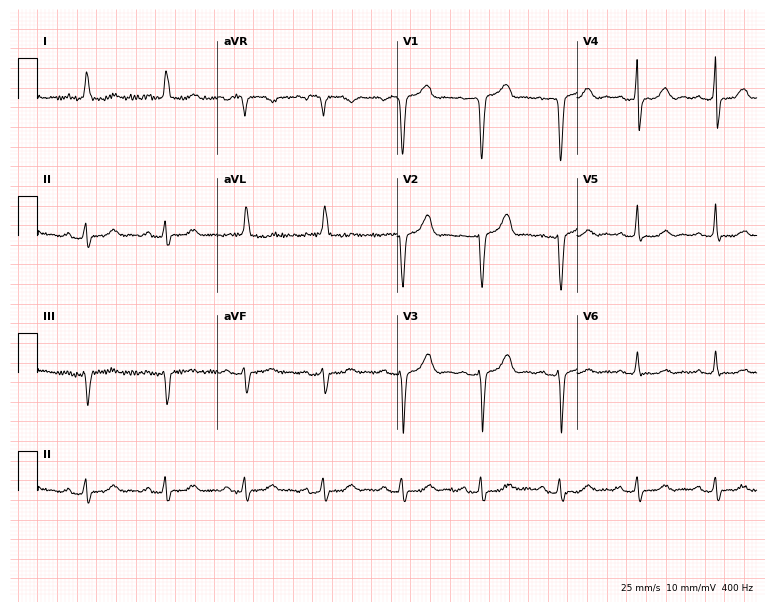
Standard 12-lead ECG recorded from a woman, 76 years old (7.3-second recording at 400 Hz). None of these six findings is recorded: first-degree AV block, right bundle branch block, left bundle branch block, sinus bradycardia, atrial fibrillation, sinus tachycardia.